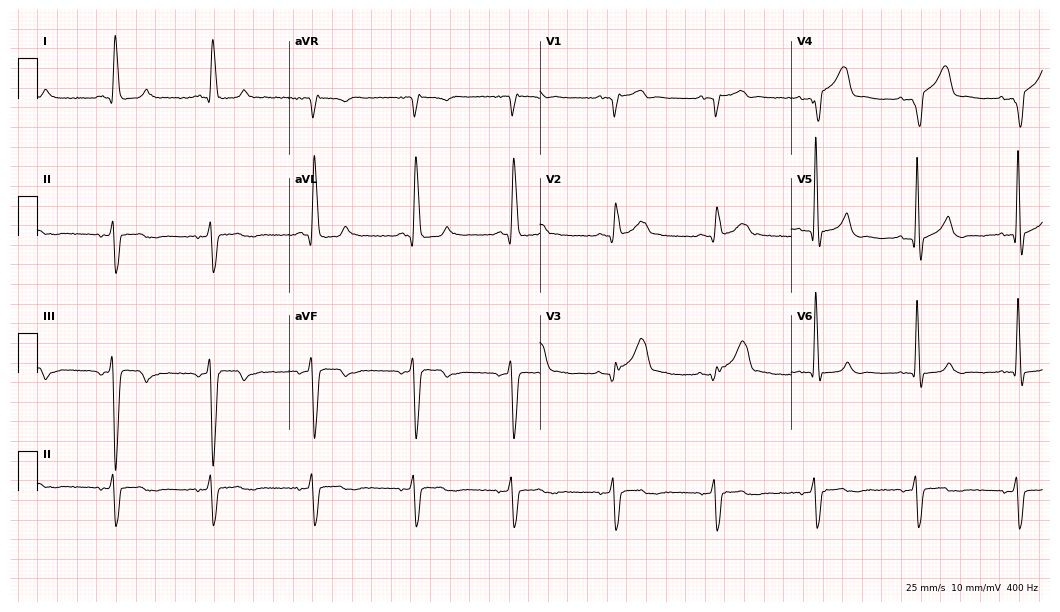
Electrocardiogram, a 71-year-old male patient. Of the six screened findings (first-degree AV block, right bundle branch block, left bundle branch block, sinus bradycardia, atrial fibrillation, sinus tachycardia), none is recorded.